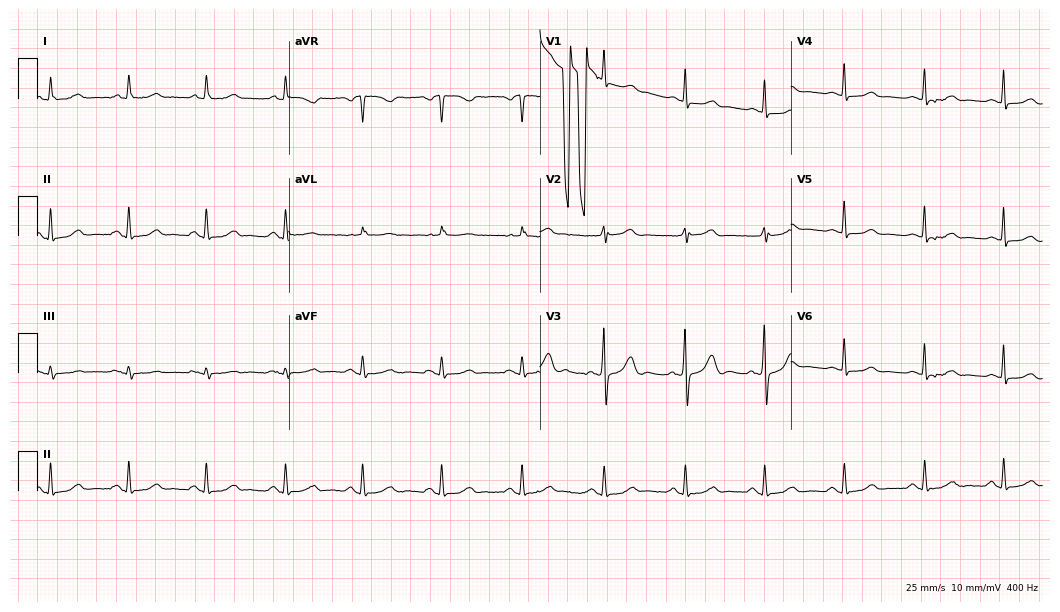
Resting 12-lead electrocardiogram (10.2-second recording at 400 Hz). Patient: a 76-year-old woman. None of these six findings is recorded: first-degree AV block, right bundle branch block (RBBB), left bundle branch block (LBBB), sinus bradycardia, atrial fibrillation (AF), sinus tachycardia.